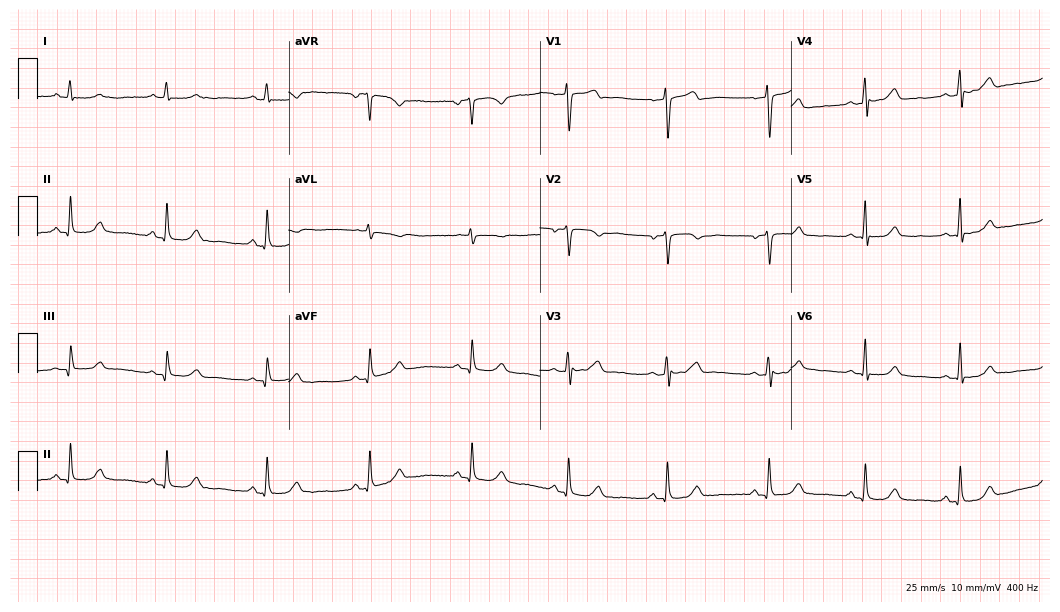
Standard 12-lead ECG recorded from a 52-year-old woman (10.2-second recording at 400 Hz). Read as a normal ECG.